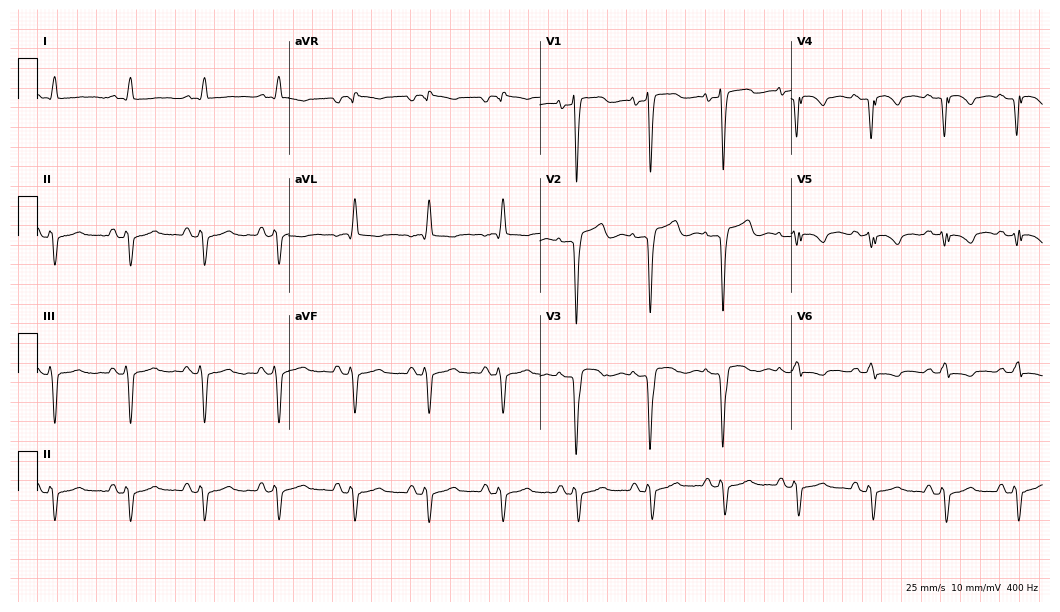
ECG — a 39-year-old male. Screened for six findings — first-degree AV block, right bundle branch block, left bundle branch block, sinus bradycardia, atrial fibrillation, sinus tachycardia — none is recorded.